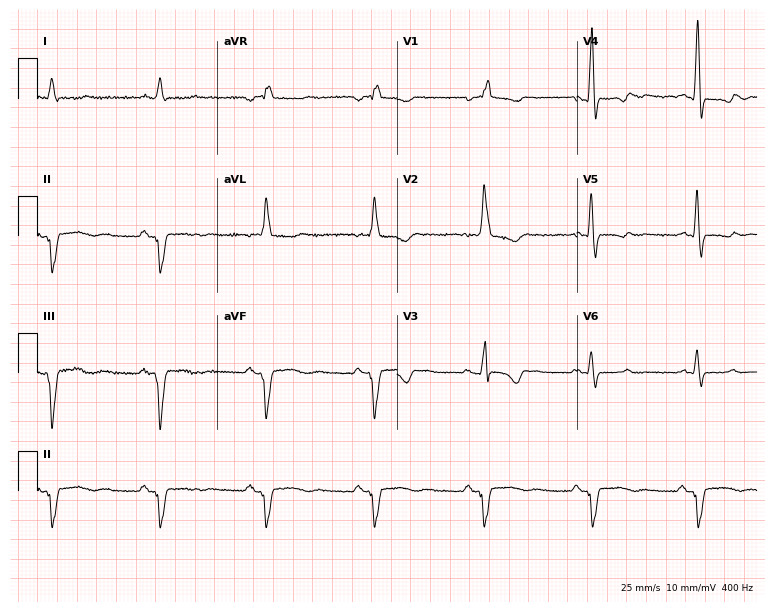
12-lead ECG from a 46-year-old woman. Shows right bundle branch block (RBBB).